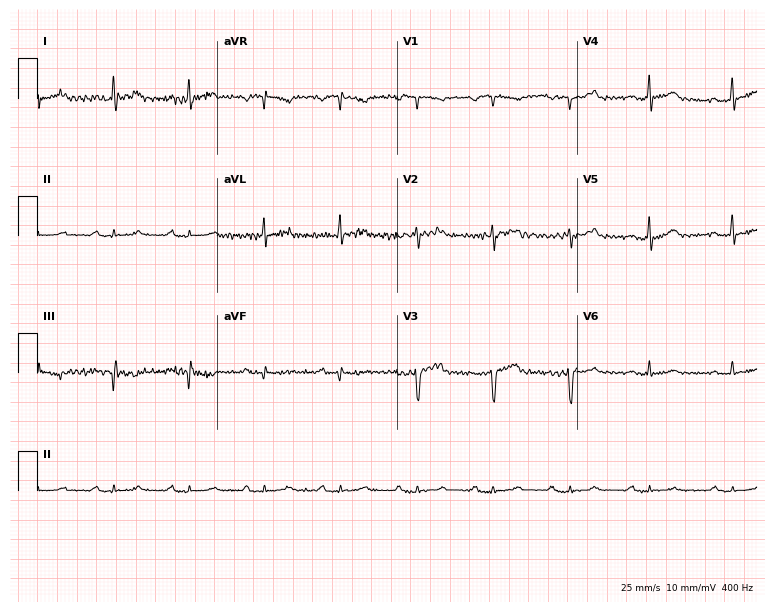
Standard 12-lead ECG recorded from a man, 60 years old. None of these six findings is recorded: first-degree AV block, right bundle branch block, left bundle branch block, sinus bradycardia, atrial fibrillation, sinus tachycardia. Findings outside these six are not listed.